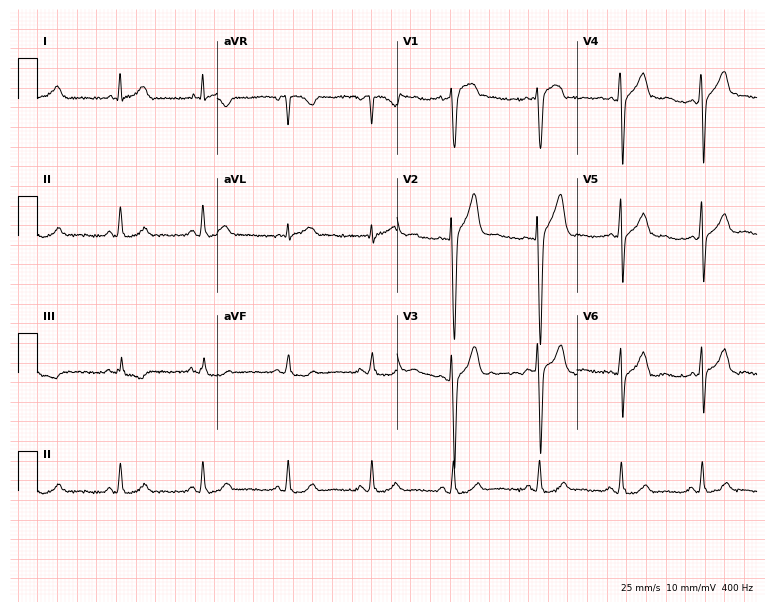
ECG — a man, 33 years old. Screened for six findings — first-degree AV block, right bundle branch block (RBBB), left bundle branch block (LBBB), sinus bradycardia, atrial fibrillation (AF), sinus tachycardia — none is recorded. Only these six findings were labelled.